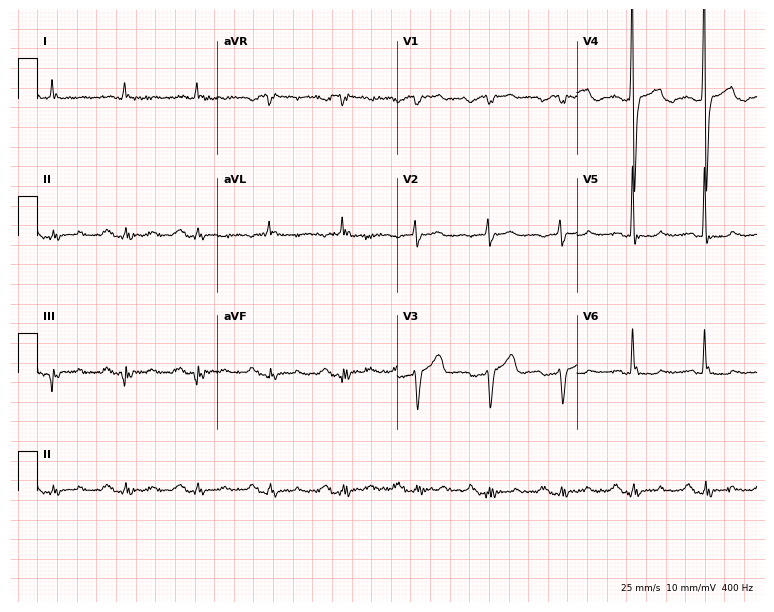
12-lead ECG from a male, 72 years old (7.3-second recording at 400 Hz). No first-degree AV block, right bundle branch block, left bundle branch block, sinus bradycardia, atrial fibrillation or sinus tachycardia recorded for this tracing. Other findings, if any, are not listed.